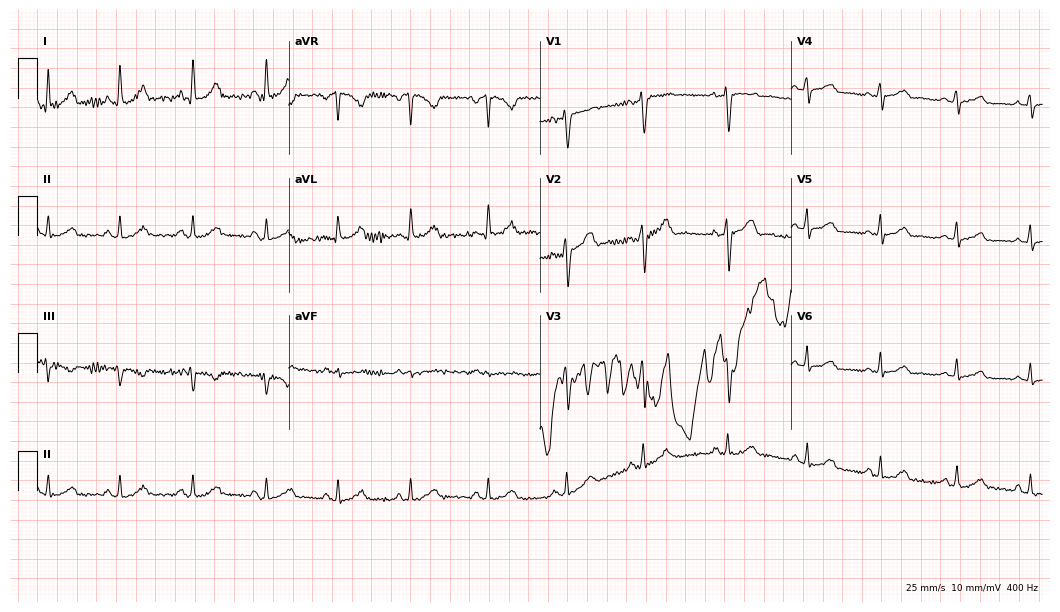
Standard 12-lead ECG recorded from a female, 30 years old (10.2-second recording at 400 Hz). None of these six findings is recorded: first-degree AV block, right bundle branch block, left bundle branch block, sinus bradycardia, atrial fibrillation, sinus tachycardia.